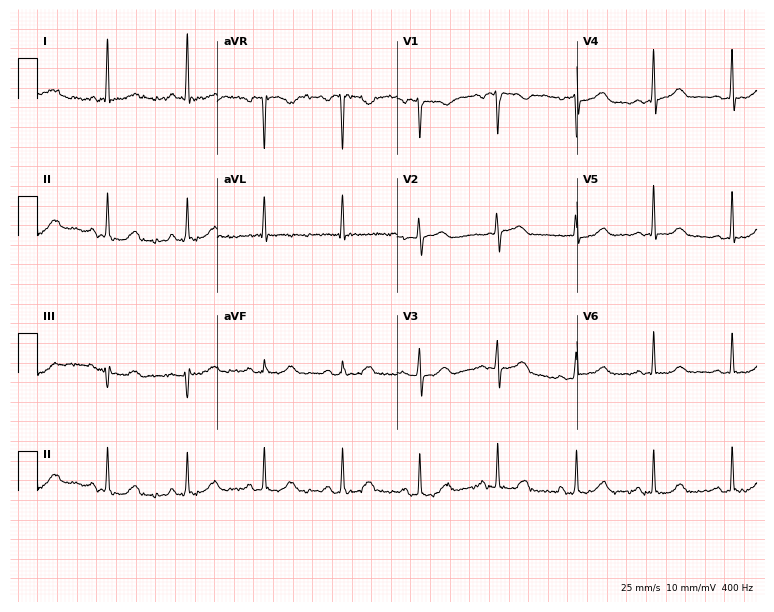
Electrocardiogram, a woman, 61 years old. Overall reading on record: normal ECG.